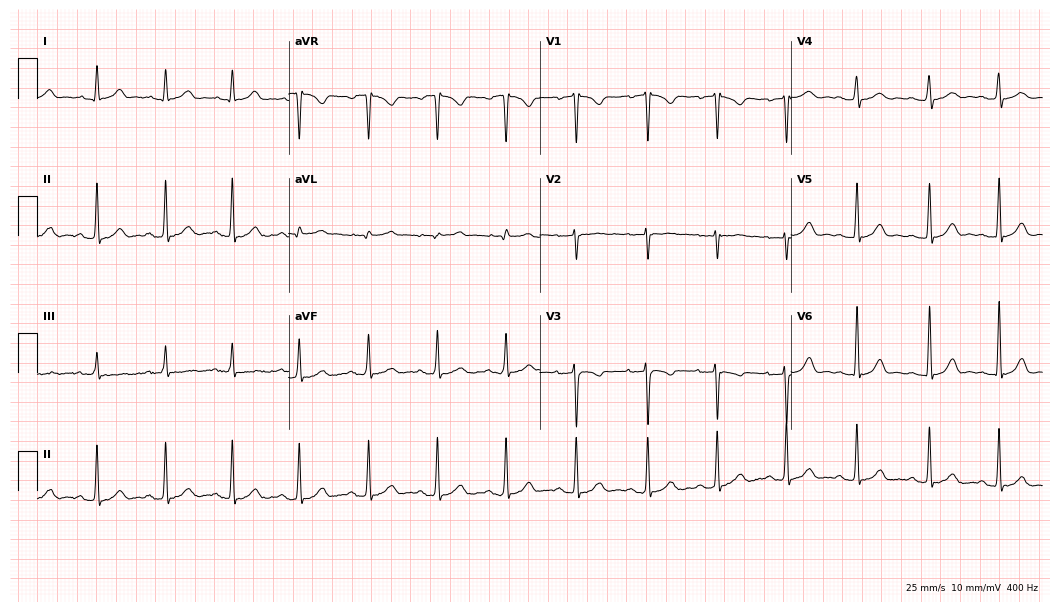
Standard 12-lead ECG recorded from a female, 36 years old (10.2-second recording at 400 Hz). Read as a normal ECG.